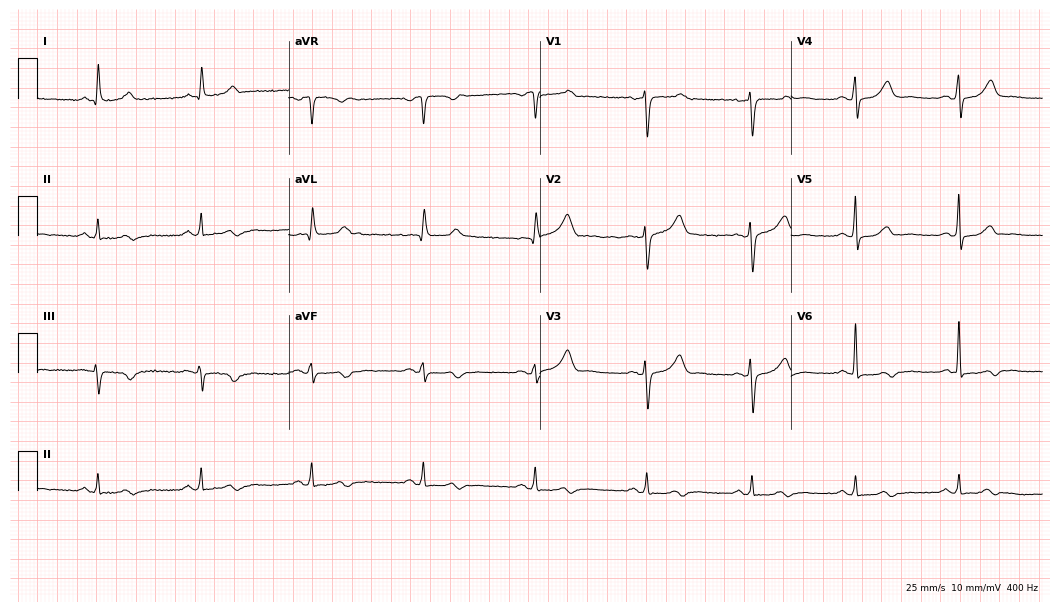
12-lead ECG from a female, 55 years old. No first-degree AV block, right bundle branch block (RBBB), left bundle branch block (LBBB), sinus bradycardia, atrial fibrillation (AF) or sinus tachycardia recorded for this tracing. Only these six findings were labelled.